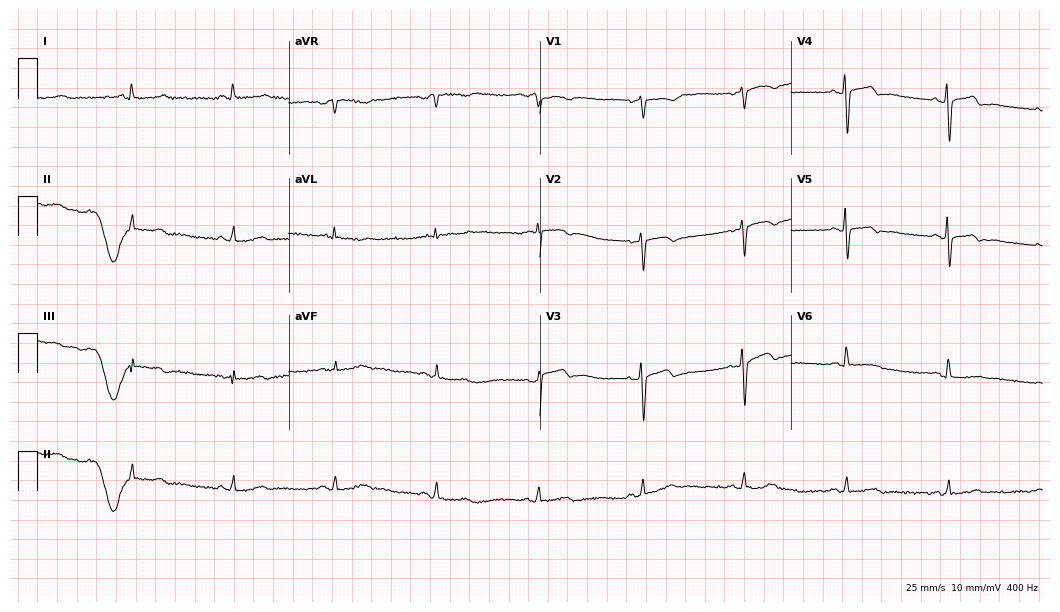
Electrocardiogram (10.2-second recording at 400 Hz), a woman, 50 years old. Of the six screened findings (first-degree AV block, right bundle branch block (RBBB), left bundle branch block (LBBB), sinus bradycardia, atrial fibrillation (AF), sinus tachycardia), none is recorded. Other findings, if any, are not listed.